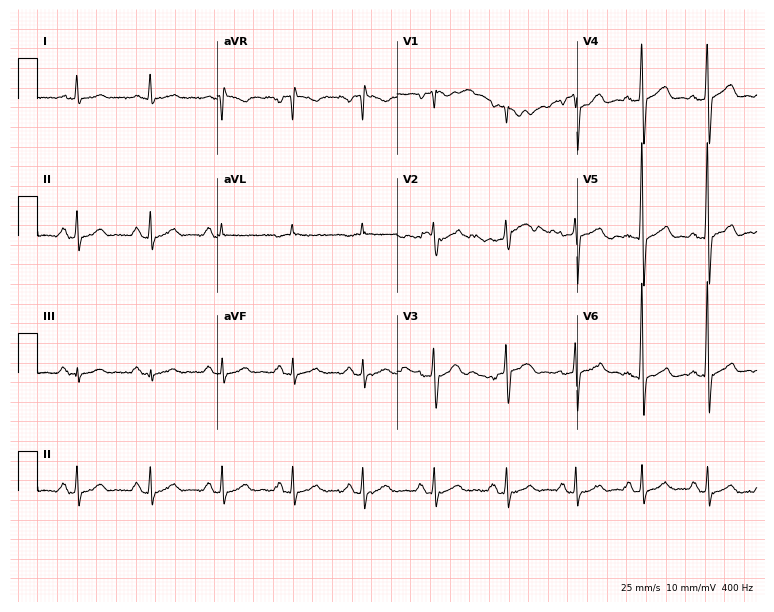
12-lead ECG from a 64-year-old man. Recorded interpretation: within normal limits.